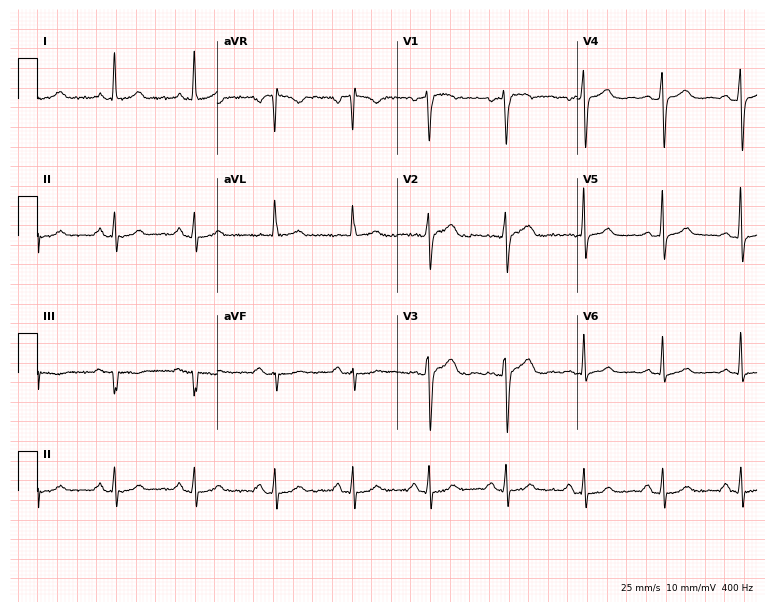
12-lead ECG from a 44-year-old female patient. Recorded interpretation: within normal limits.